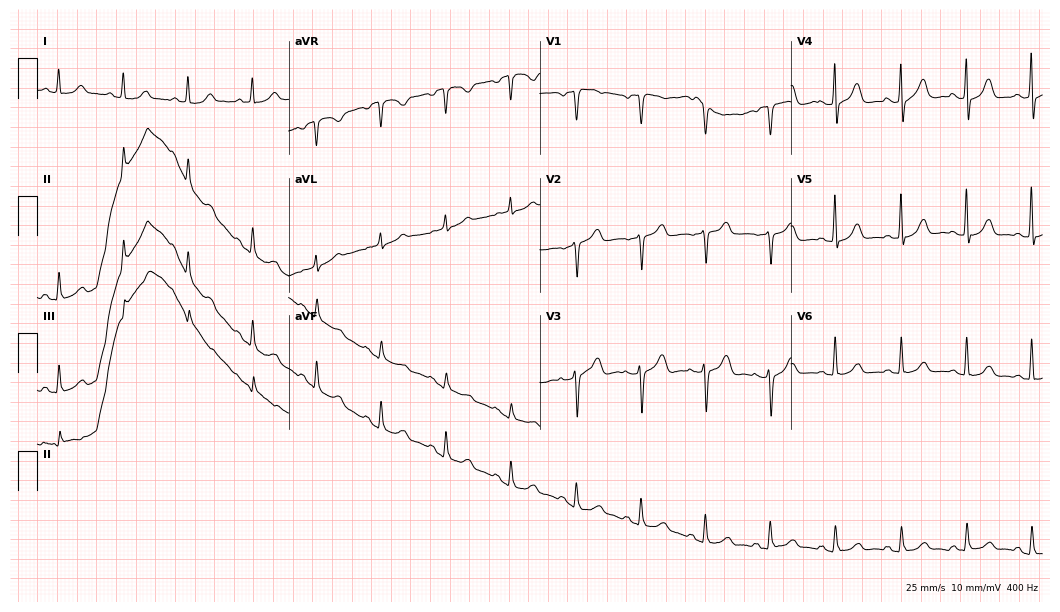
ECG (10.2-second recording at 400 Hz) — a 74-year-old woman. Labelled as a normal ECG.